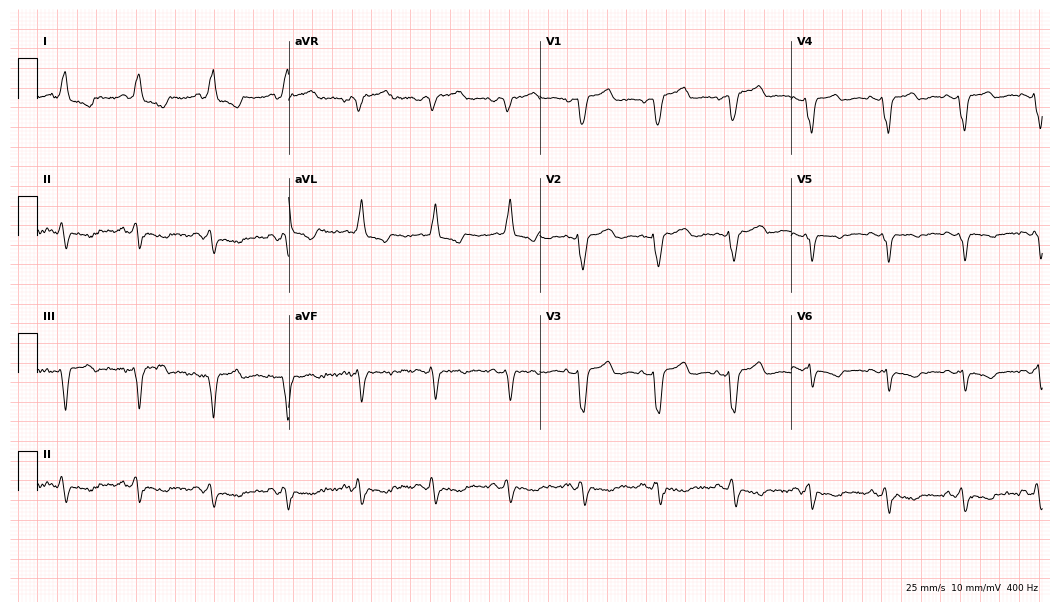
Standard 12-lead ECG recorded from a female patient, 84 years old (10.2-second recording at 400 Hz). The tracing shows left bundle branch block (LBBB).